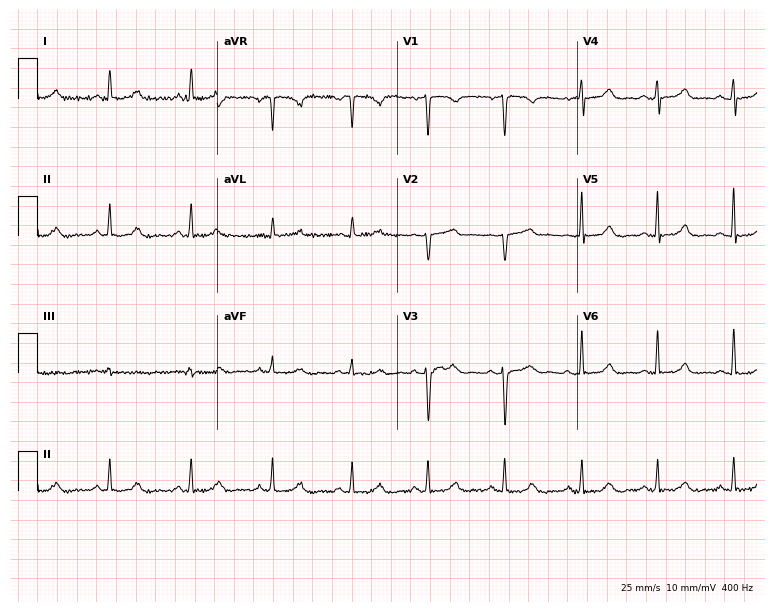
12-lead ECG from a 57-year-old female (7.3-second recording at 400 Hz). Recorded interpretation: within normal limits.